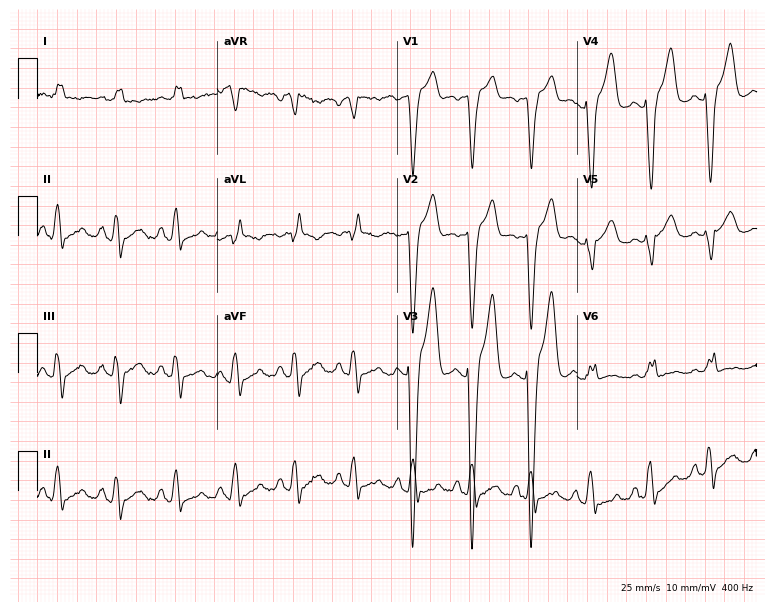
12-lead ECG from a 67-year-old male (7.3-second recording at 400 Hz). Shows left bundle branch block (LBBB).